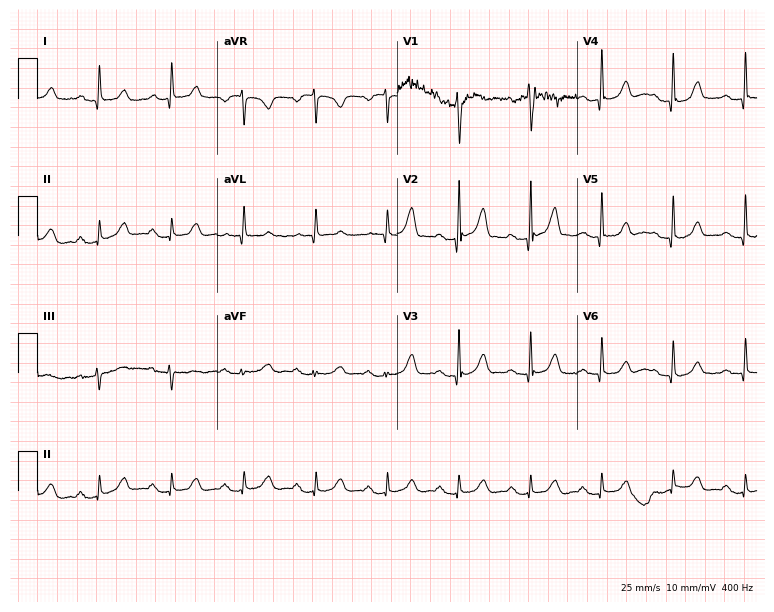
12-lead ECG (7.3-second recording at 400 Hz) from a female patient, 63 years old. Findings include first-degree AV block.